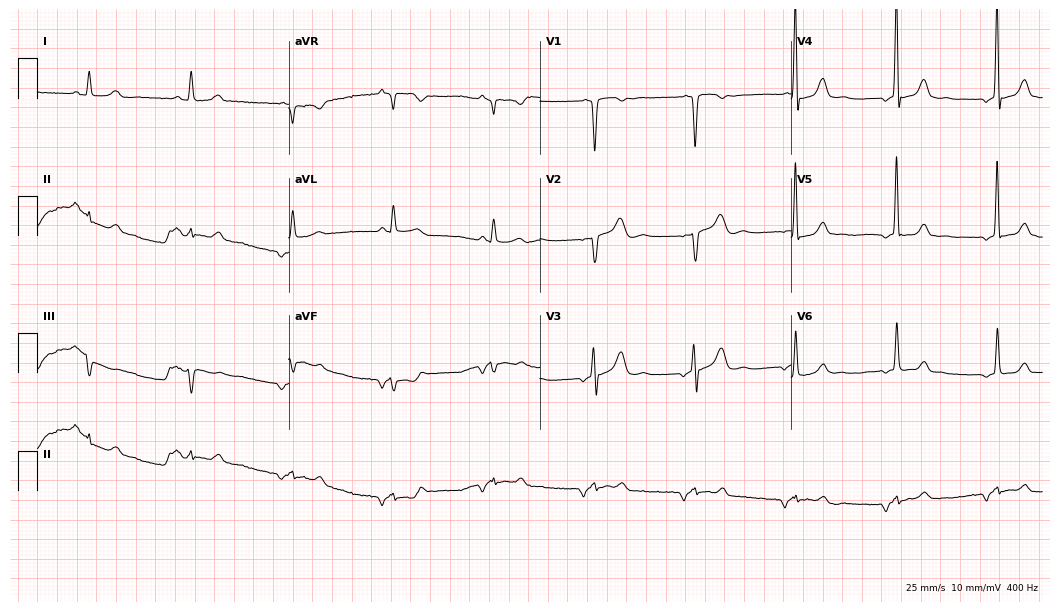
ECG — a female, 41 years old. Screened for six findings — first-degree AV block, right bundle branch block, left bundle branch block, sinus bradycardia, atrial fibrillation, sinus tachycardia — none is recorded. Only these six findings were labelled.